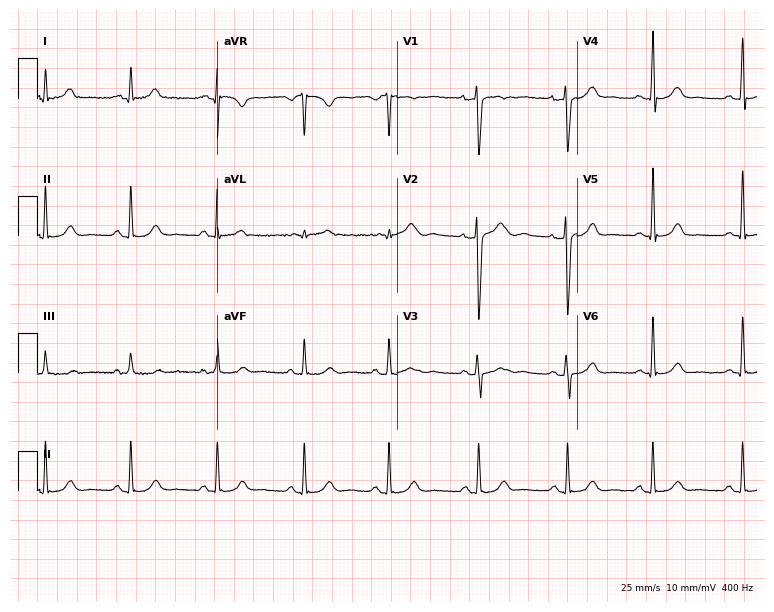
Resting 12-lead electrocardiogram (7.3-second recording at 400 Hz). Patient: a female, 29 years old. Read as a normal ECG.